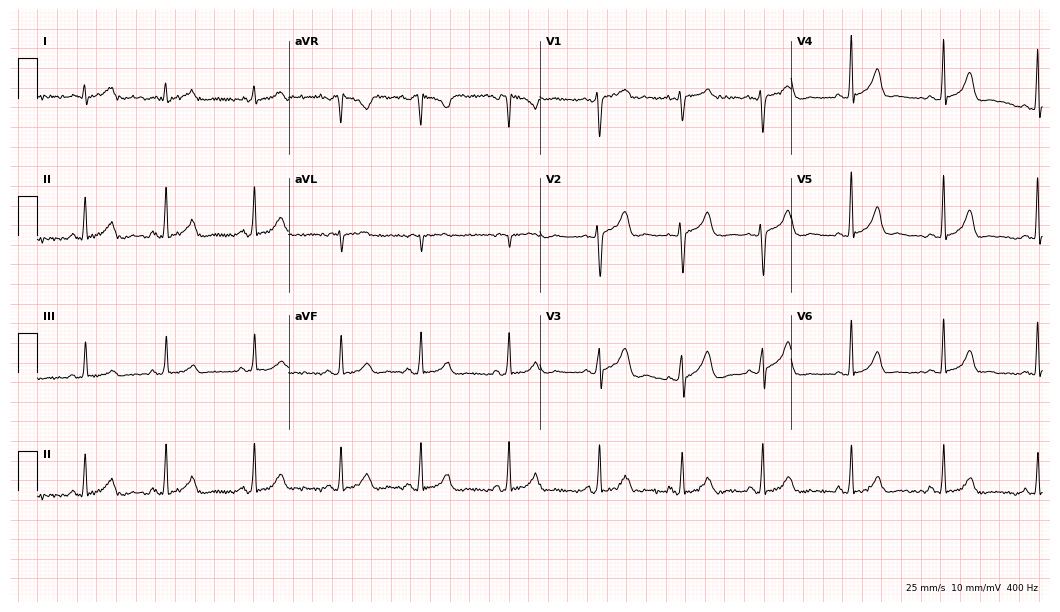
Resting 12-lead electrocardiogram (10.2-second recording at 400 Hz). Patient: a 39-year-old female. Read as a normal ECG.